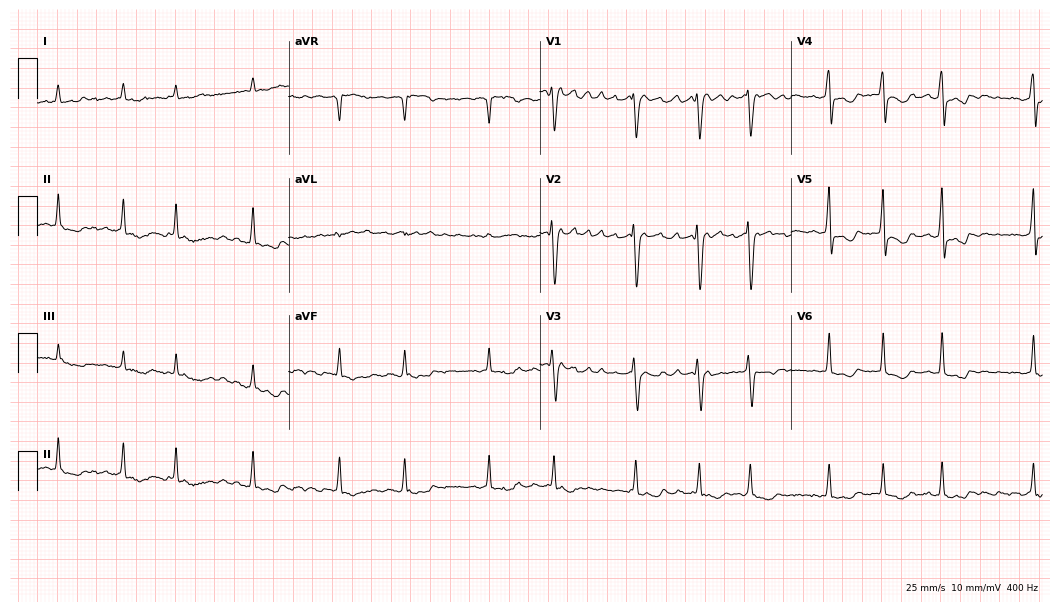
Standard 12-lead ECG recorded from a female, 66 years old. The tracing shows atrial fibrillation.